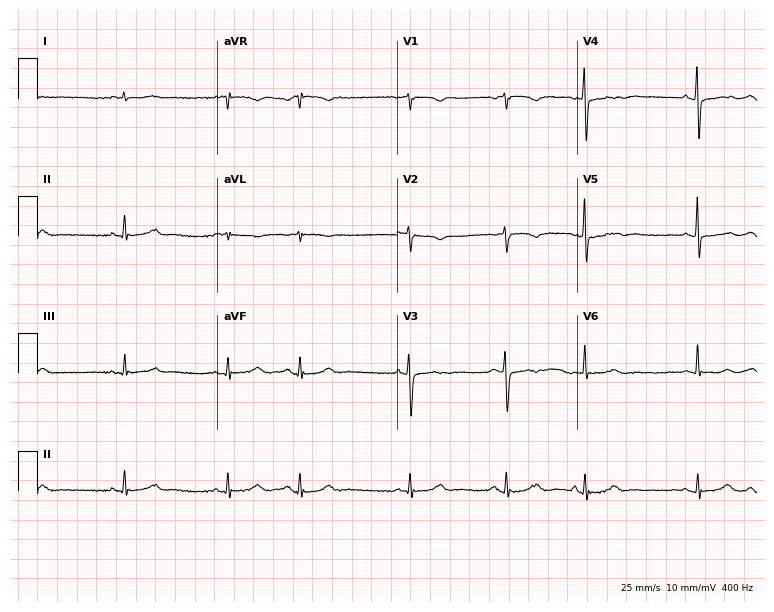
12-lead ECG (7.3-second recording at 400 Hz) from a male, 85 years old. Screened for six findings — first-degree AV block, right bundle branch block, left bundle branch block, sinus bradycardia, atrial fibrillation, sinus tachycardia — none is recorded. Only these six findings were labelled.